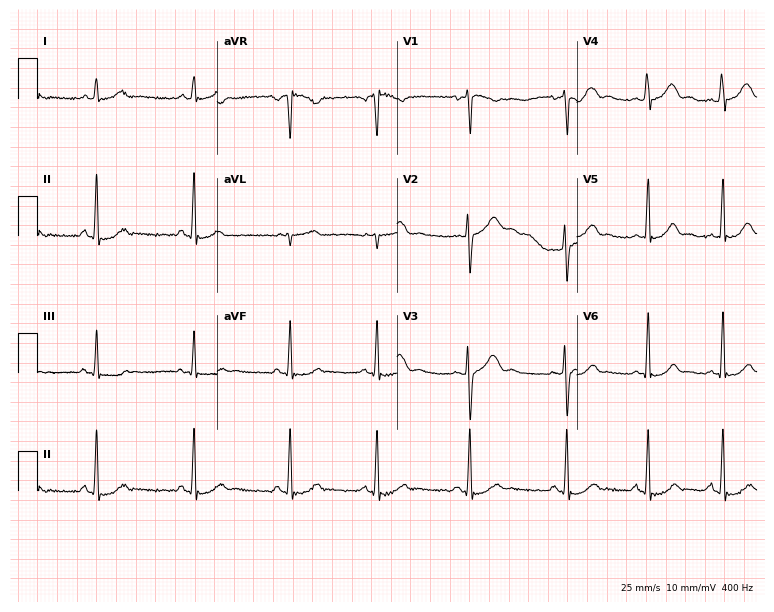
ECG (7.3-second recording at 400 Hz) — a 23-year-old female. Labelled as a normal ECG.